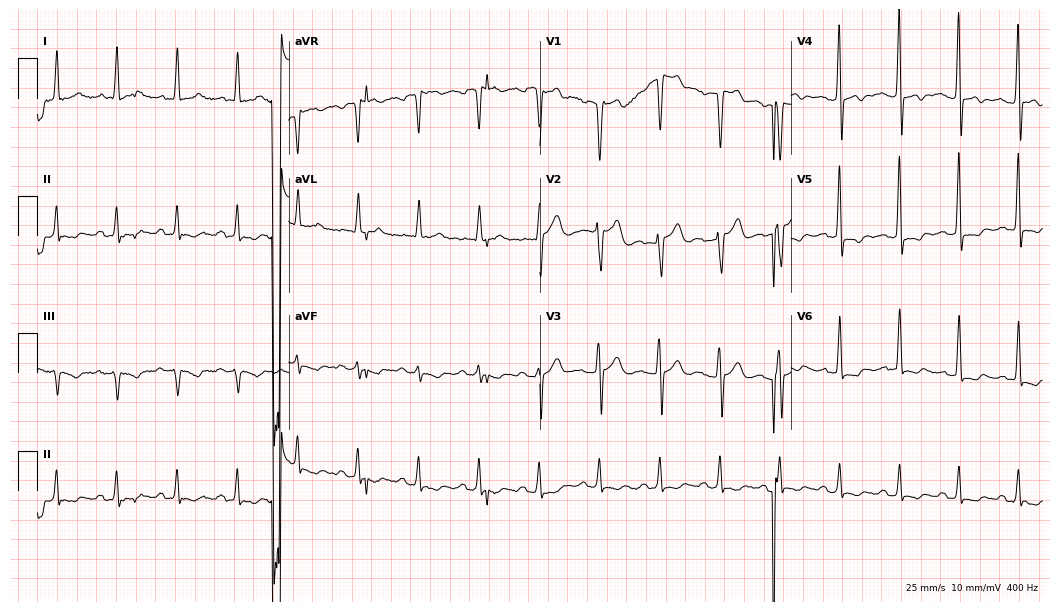
Standard 12-lead ECG recorded from a male patient, 71 years old. None of these six findings is recorded: first-degree AV block, right bundle branch block, left bundle branch block, sinus bradycardia, atrial fibrillation, sinus tachycardia.